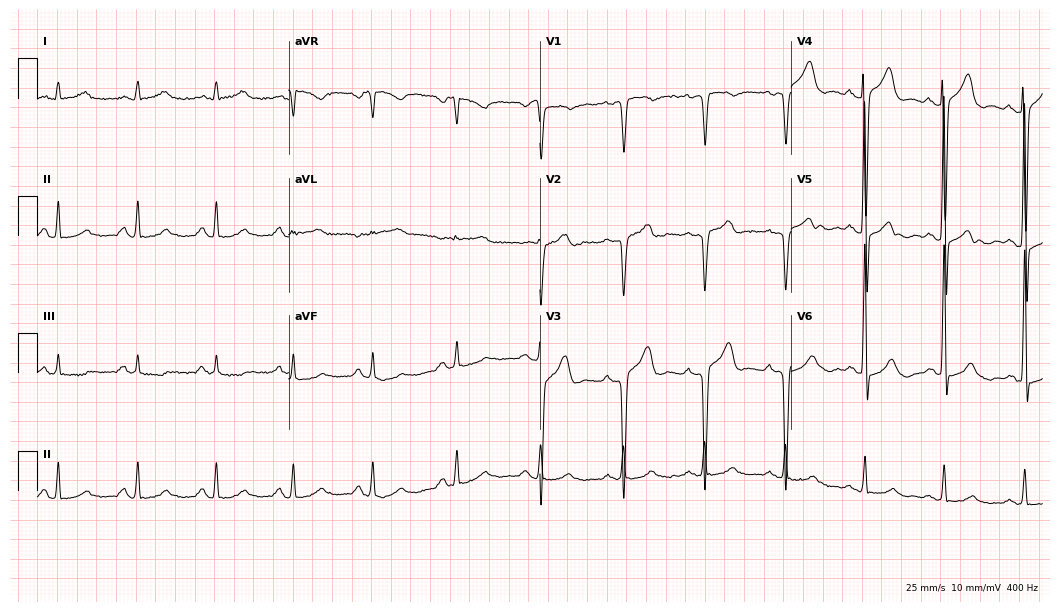
12-lead ECG from a man, 45 years old (10.2-second recording at 400 Hz). No first-degree AV block, right bundle branch block, left bundle branch block, sinus bradycardia, atrial fibrillation or sinus tachycardia recorded for this tracing. Other findings, if any, are not listed.